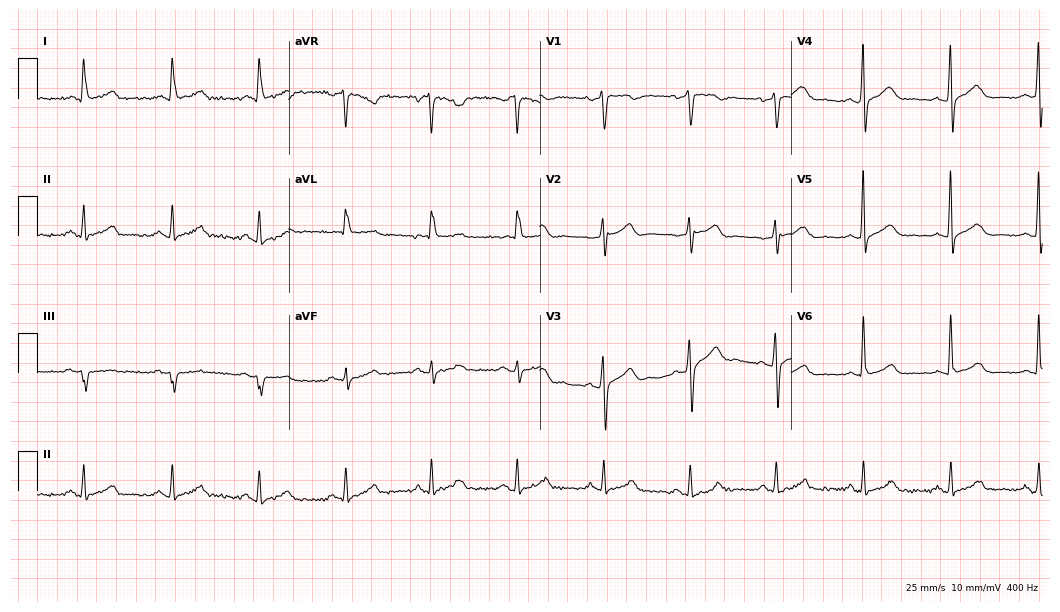
Standard 12-lead ECG recorded from a 62-year-old male (10.2-second recording at 400 Hz). Read as a normal ECG.